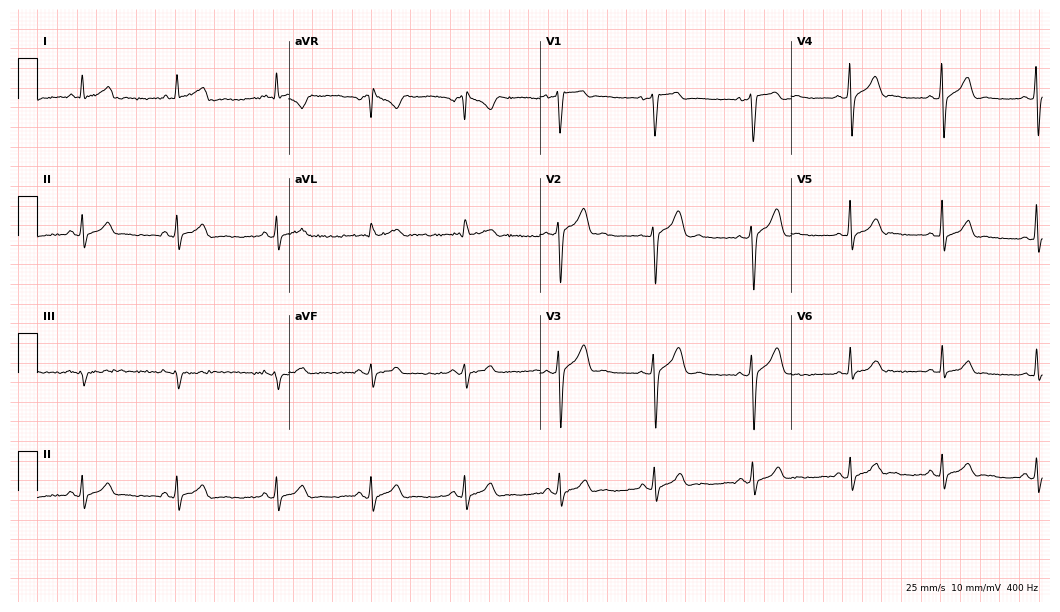
ECG — a 30-year-old male patient. Labelled as a normal ECG.